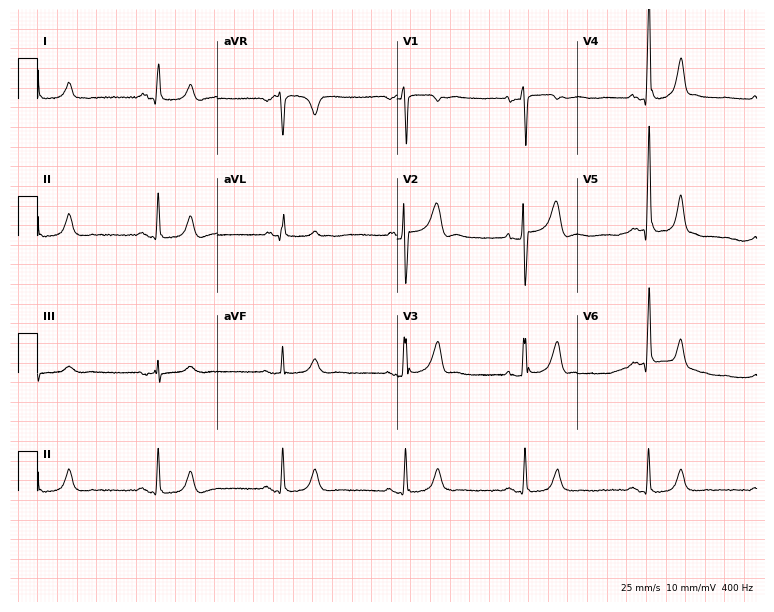
Electrocardiogram (7.3-second recording at 400 Hz), a 48-year-old male. Overall reading on record: normal ECG.